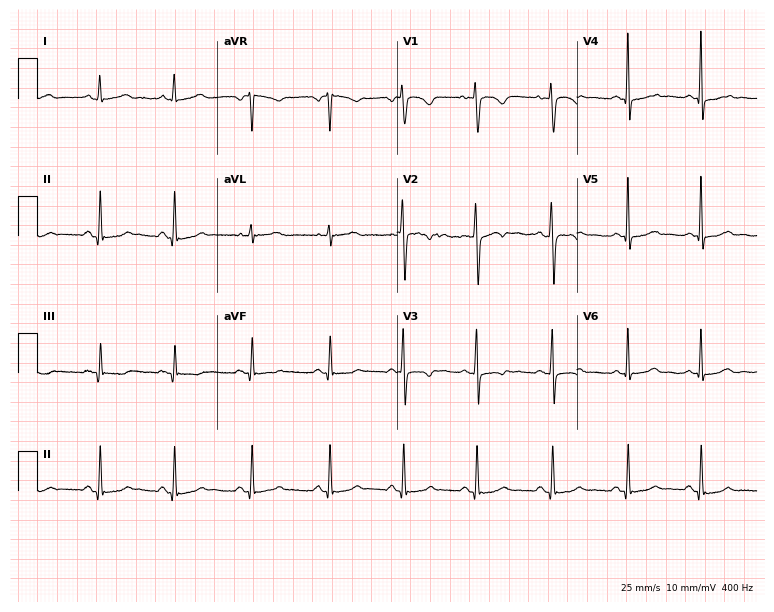
12-lead ECG (7.3-second recording at 400 Hz) from a female patient, 40 years old. Screened for six findings — first-degree AV block, right bundle branch block, left bundle branch block, sinus bradycardia, atrial fibrillation, sinus tachycardia — none is recorded. Only these six findings were labelled.